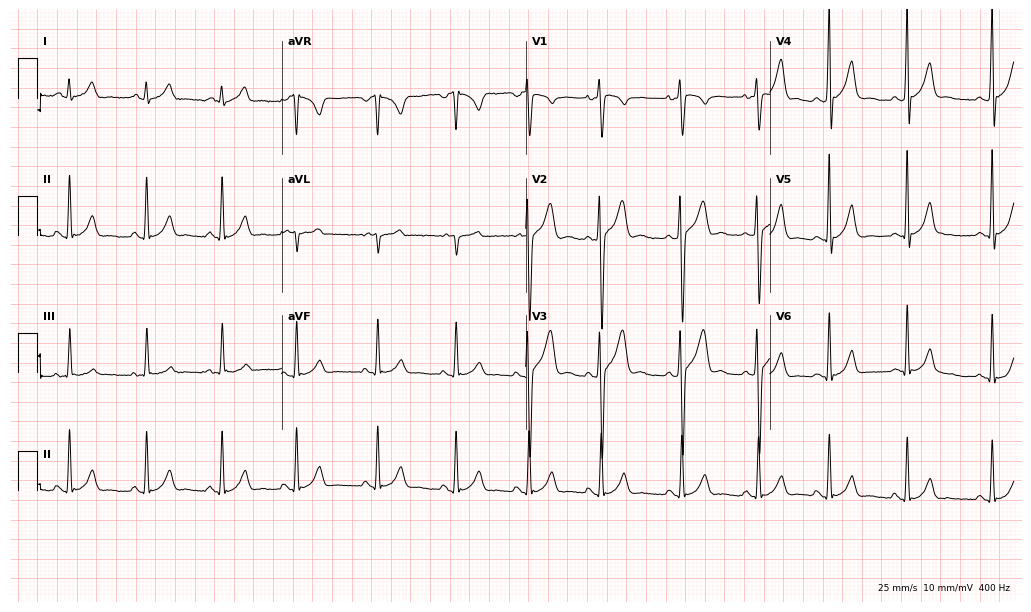
Standard 12-lead ECG recorded from a man, 20 years old (10-second recording at 400 Hz). Read as a normal ECG.